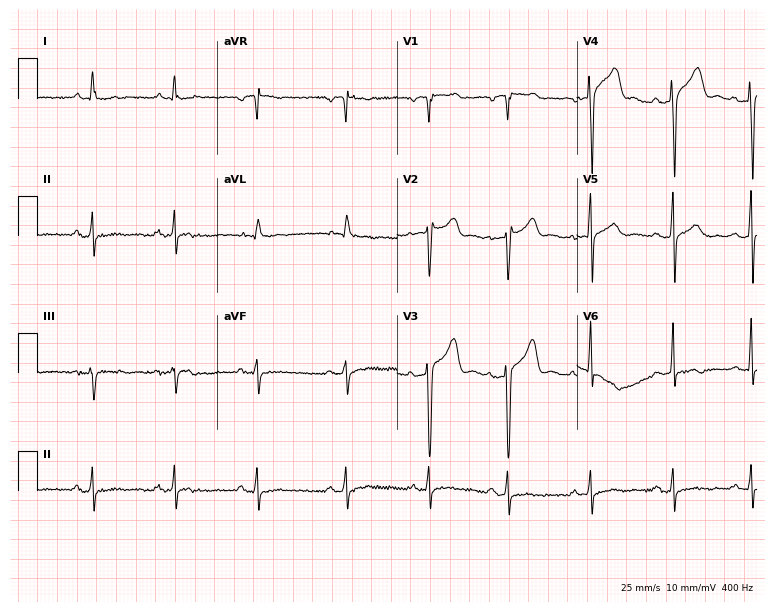
12-lead ECG from a 70-year-old male (7.3-second recording at 400 Hz). Recorded interpretation: within normal limits.